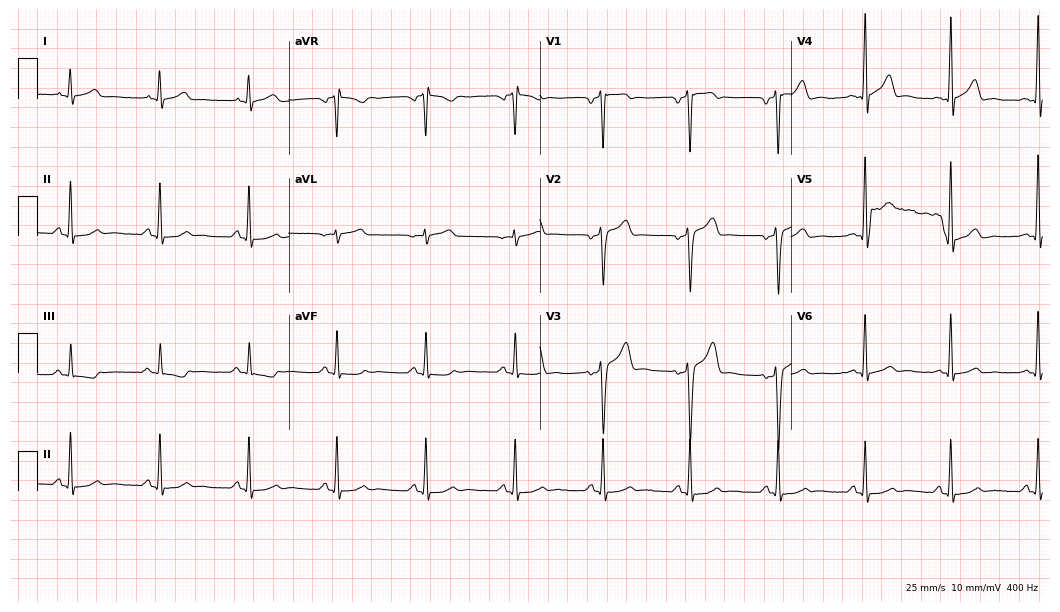
12-lead ECG from a 43-year-old man (10.2-second recording at 400 Hz). Recorded interpretation: within normal limits.